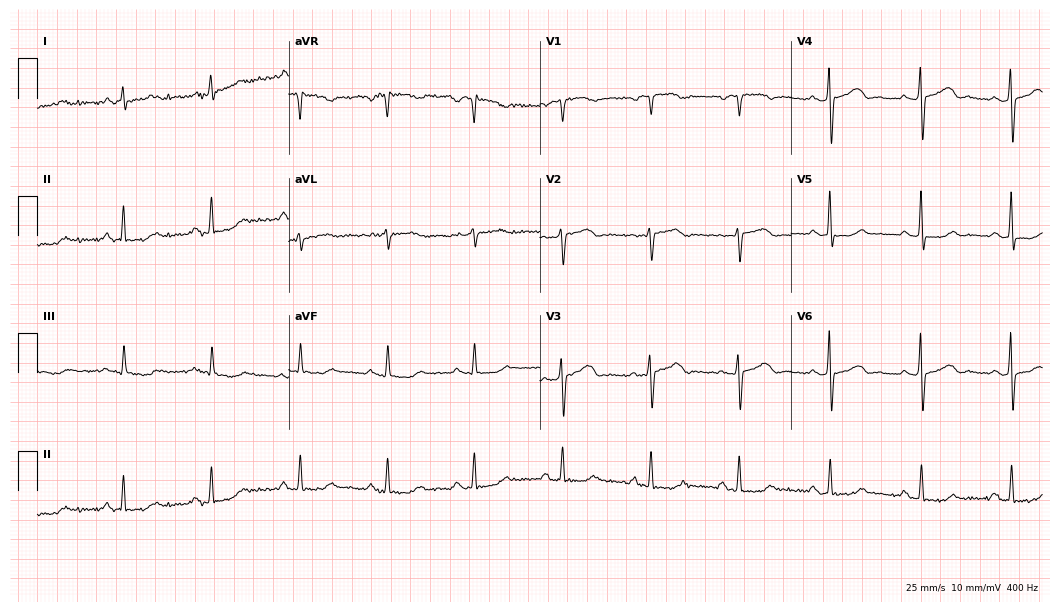
Electrocardiogram (10.2-second recording at 400 Hz), a 67-year-old female. Of the six screened findings (first-degree AV block, right bundle branch block (RBBB), left bundle branch block (LBBB), sinus bradycardia, atrial fibrillation (AF), sinus tachycardia), none is recorded. Other findings, if any, are not listed.